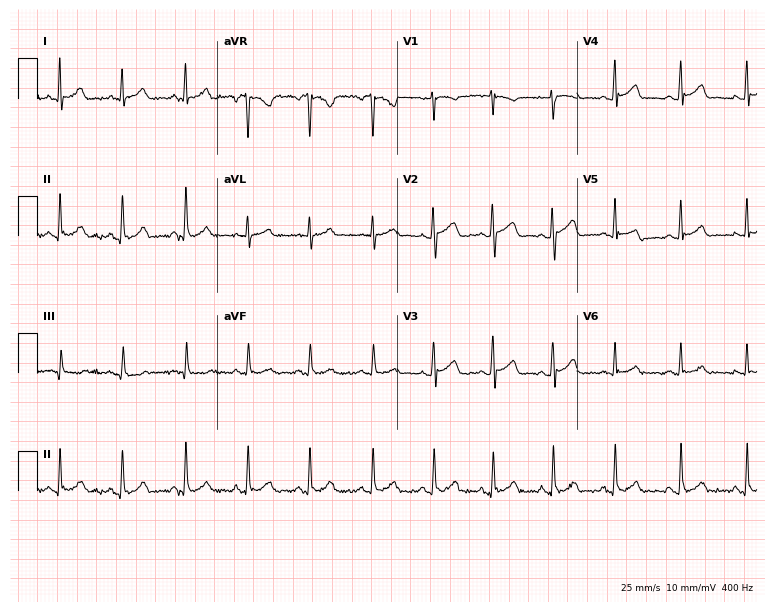
Standard 12-lead ECG recorded from a female, 26 years old (7.3-second recording at 400 Hz). None of these six findings is recorded: first-degree AV block, right bundle branch block, left bundle branch block, sinus bradycardia, atrial fibrillation, sinus tachycardia.